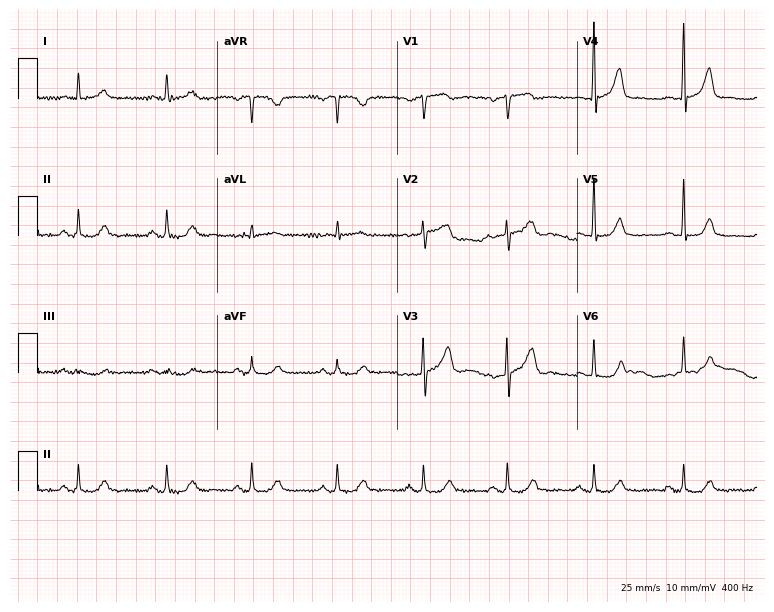
12-lead ECG from a 55-year-old male. Screened for six findings — first-degree AV block, right bundle branch block, left bundle branch block, sinus bradycardia, atrial fibrillation, sinus tachycardia — none is recorded. Findings outside these six are not listed.